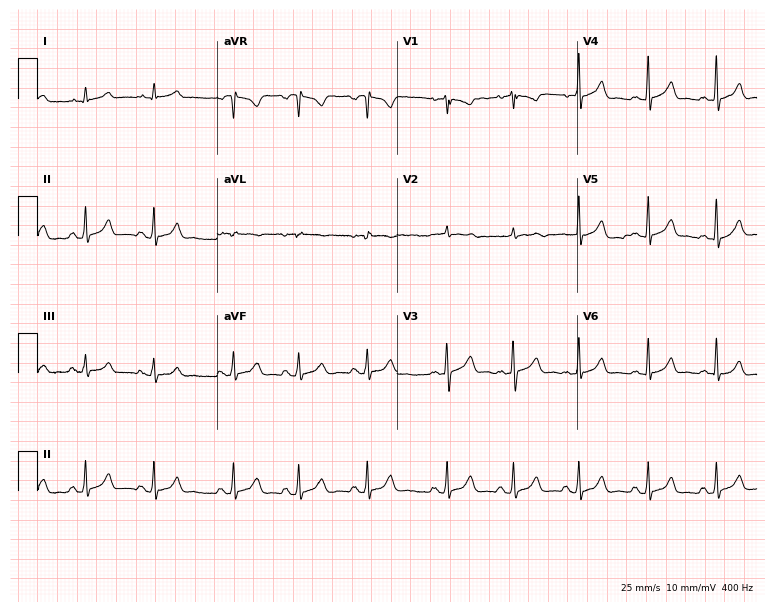
Resting 12-lead electrocardiogram (7.3-second recording at 400 Hz). Patient: a 19-year-old woman. Read as a normal ECG.